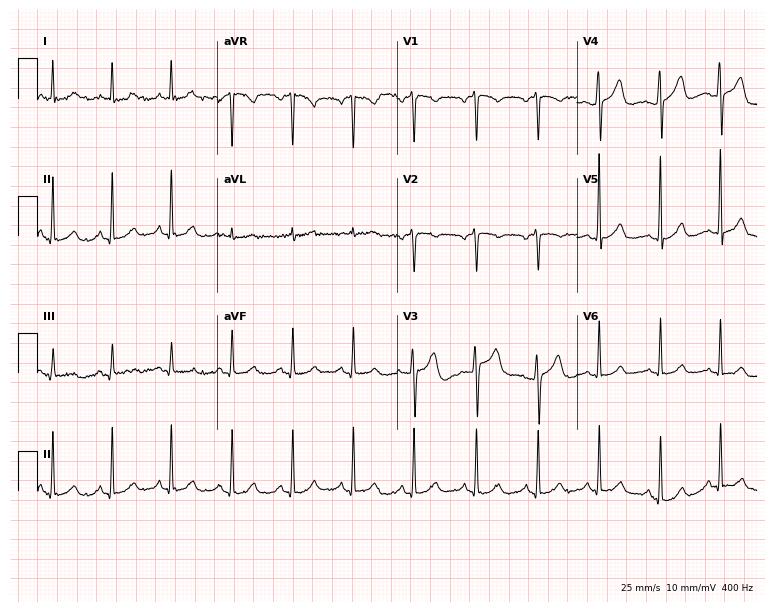
Standard 12-lead ECG recorded from a woman, 40 years old (7.3-second recording at 400 Hz). None of these six findings is recorded: first-degree AV block, right bundle branch block (RBBB), left bundle branch block (LBBB), sinus bradycardia, atrial fibrillation (AF), sinus tachycardia. Other findings, if any, are not listed.